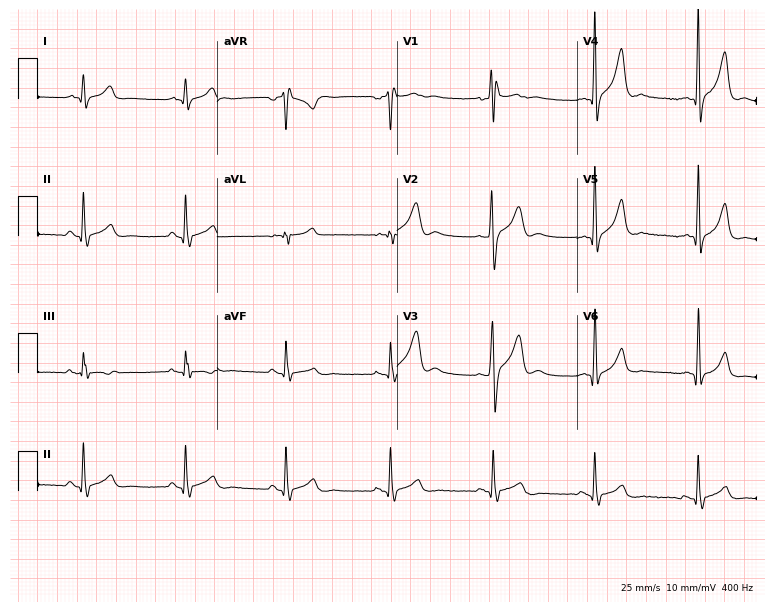
Electrocardiogram (7.3-second recording at 400 Hz), a man, 18 years old. Interpretation includes right bundle branch block (RBBB).